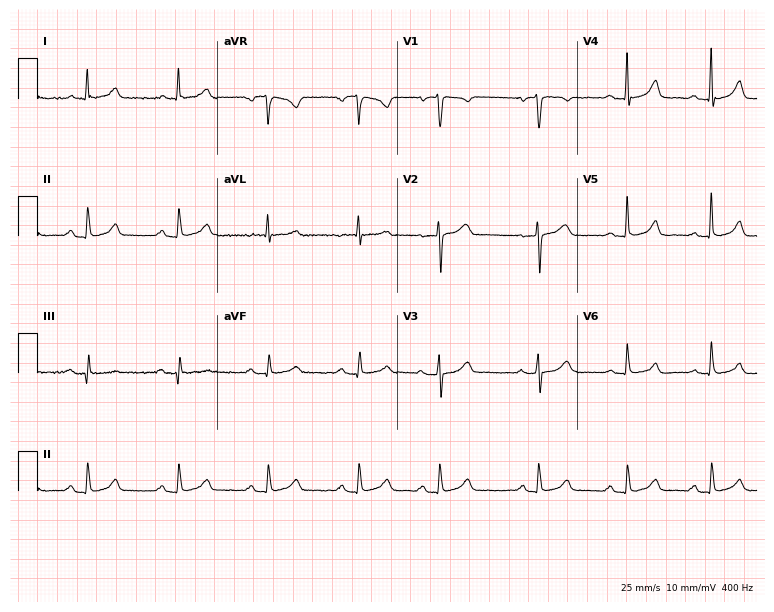
12-lead ECG (7.3-second recording at 400 Hz) from a 67-year-old female patient. Labelled as a normal ECG.